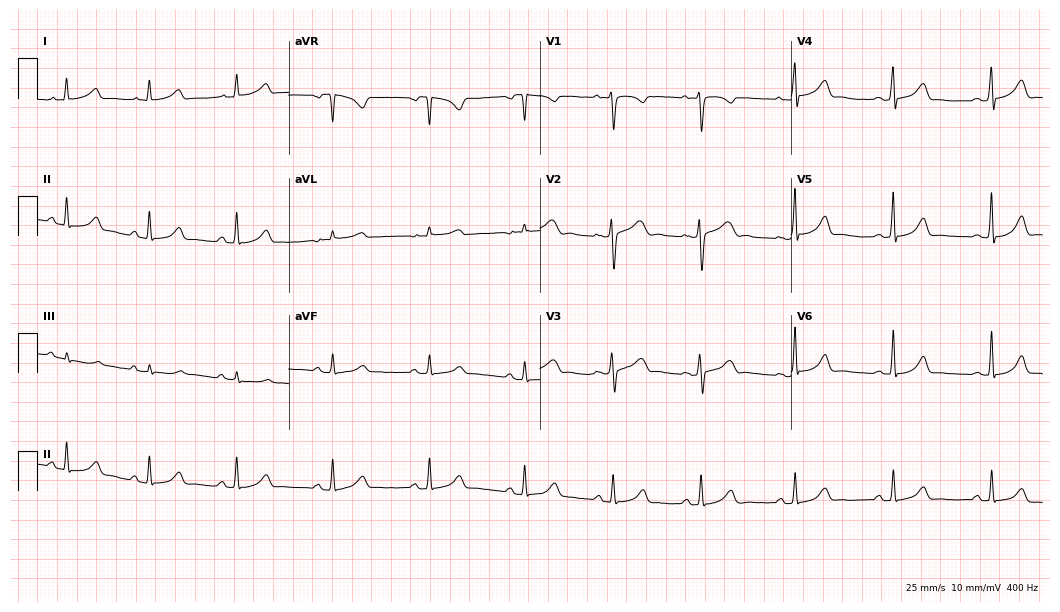
Electrocardiogram, a female patient, 27 years old. Overall reading on record: normal ECG.